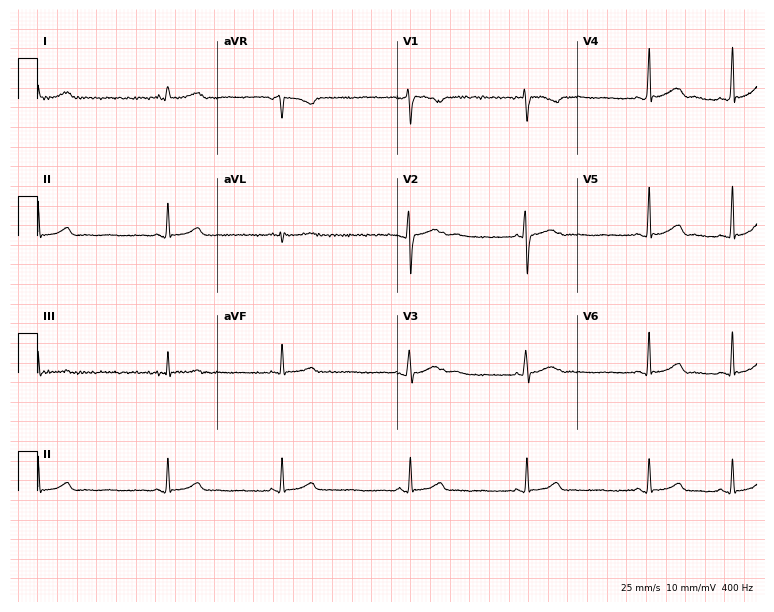
Electrocardiogram (7.3-second recording at 400 Hz), a female patient, 24 years old. Of the six screened findings (first-degree AV block, right bundle branch block (RBBB), left bundle branch block (LBBB), sinus bradycardia, atrial fibrillation (AF), sinus tachycardia), none is recorded. Only these six findings were labelled.